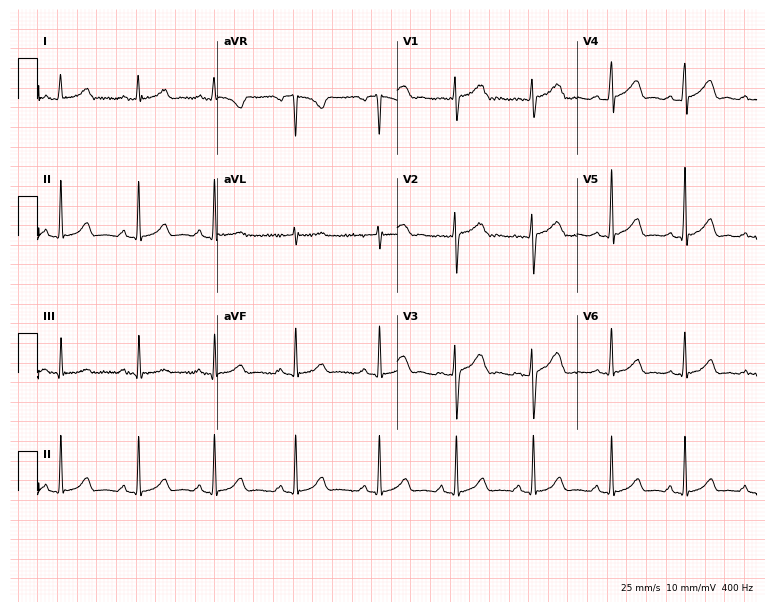
12-lead ECG (7.3-second recording at 400 Hz) from a 31-year-old female. Labelled as a normal ECG.